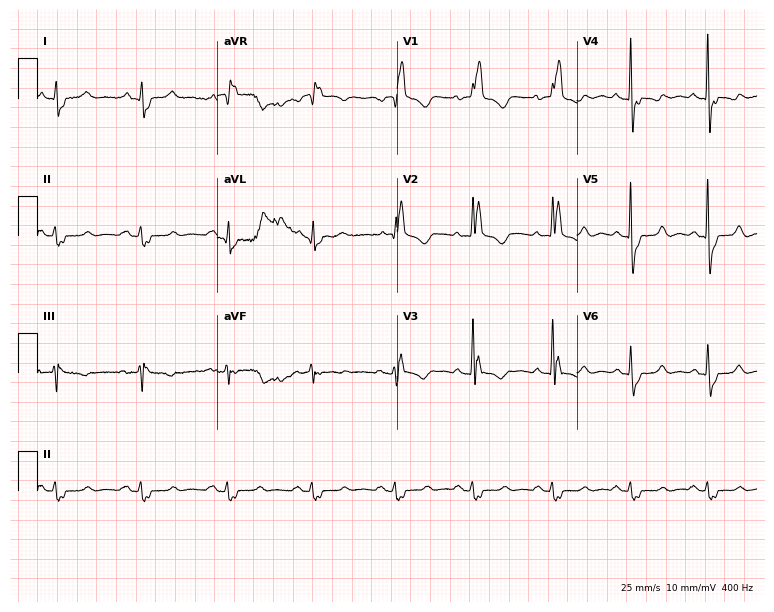
12-lead ECG from a female, 60 years old (7.3-second recording at 400 Hz). No first-degree AV block, right bundle branch block (RBBB), left bundle branch block (LBBB), sinus bradycardia, atrial fibrillation (AF) or sinus tachycardia recorded for this tracing. Findings outside these six are not listed.